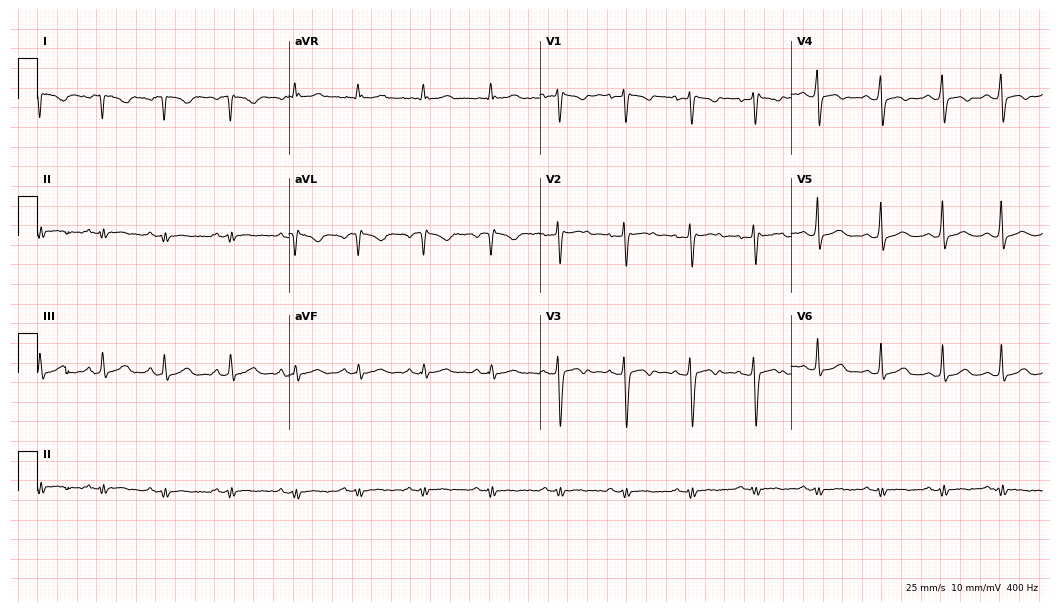
ECG (10.2-second recording at 400 Hz) — a woman, 21 years old. Screened for six findings — first-degree AV block, right bundle branch block, left bundle branch block, sinus bradycardia, atrial fibrillation, sinus tachycardia — none is recorded.